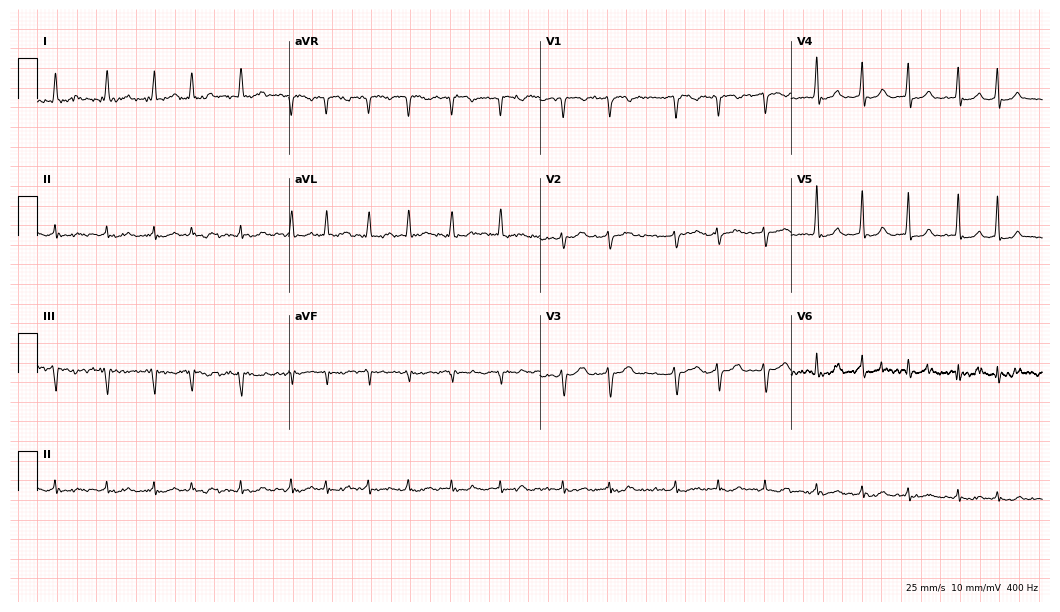
Electrocardiogram (10.2-second recording at 400 Hz), a 79-year-old woman. Interpretation includes atrial fibrillation.